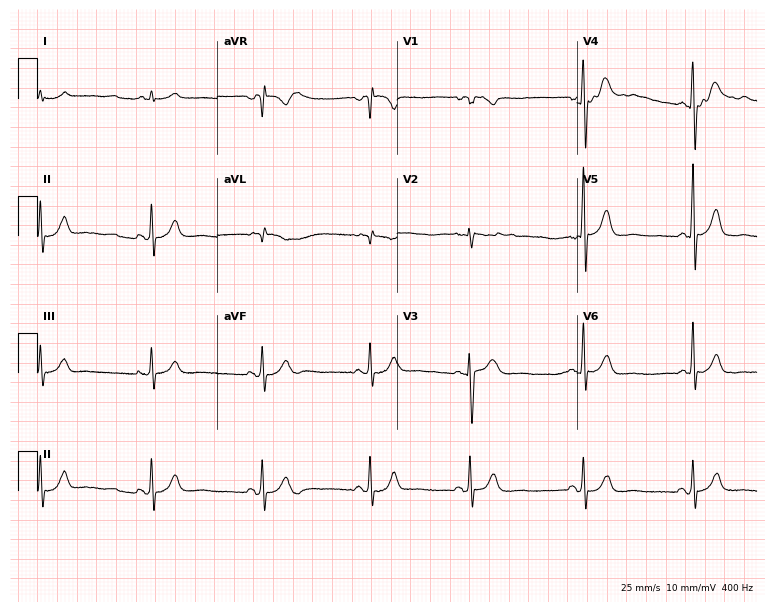
12-lead ECG from a man, 58 years old (7.3-second recording at 400 Hz). Recorded interpretation: within normal limits.